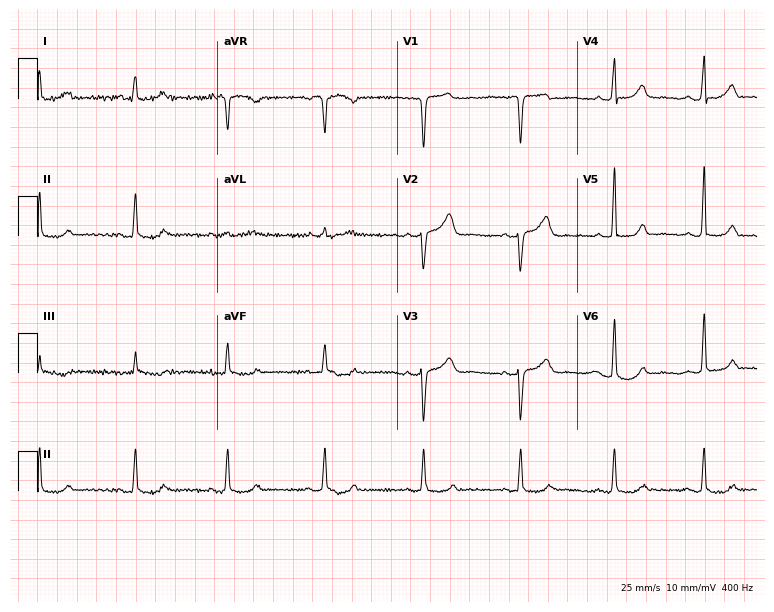
12-lead ECG from a 54-year-old woman. Recorded interpretation: within normal limits.